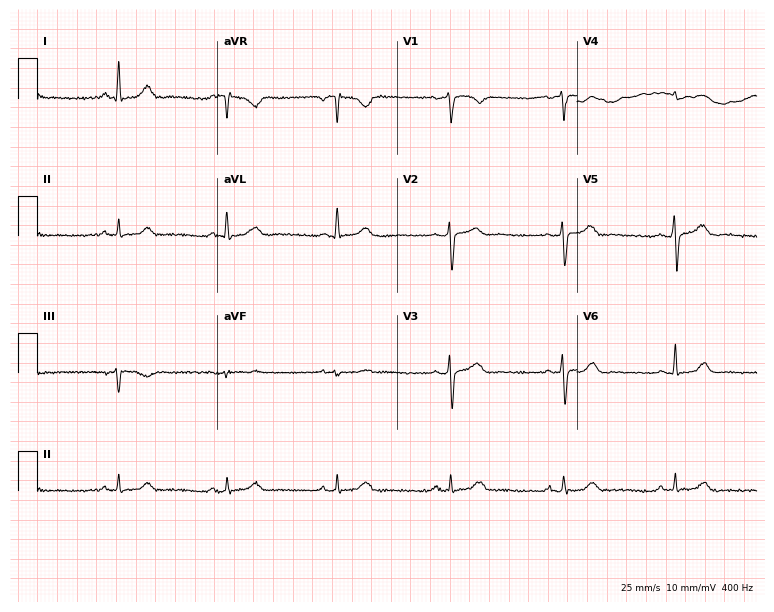
12-lead ECG (7.3-second recording at 400 Hz) from a female, 59 years old. Screened for six findings — first-degree AV block, right bundle branch block (RBBB), left bundle branch block (LBBB), sinus bradycardia, atrial fibrillation (AF), sinus tachycardia — none is recorded.